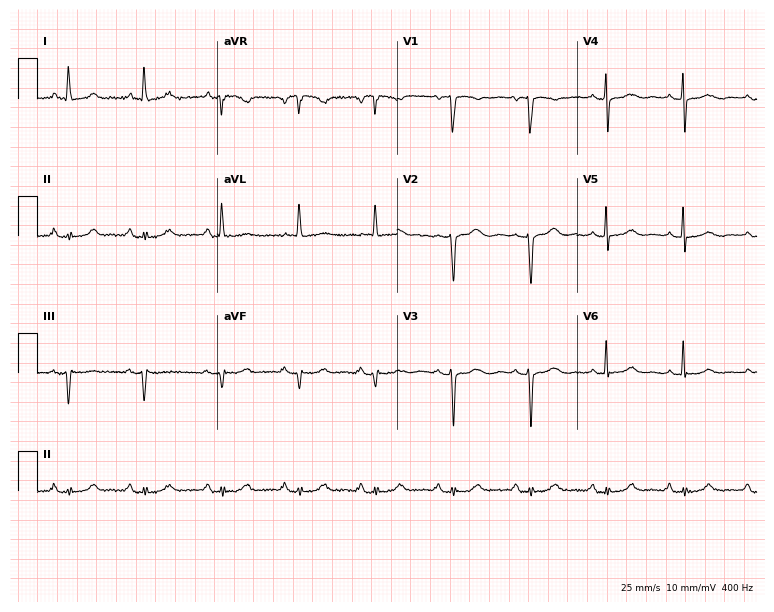
12-lead ECG from a 76-year-old female patient. Recorded interpretation: within normal limits.